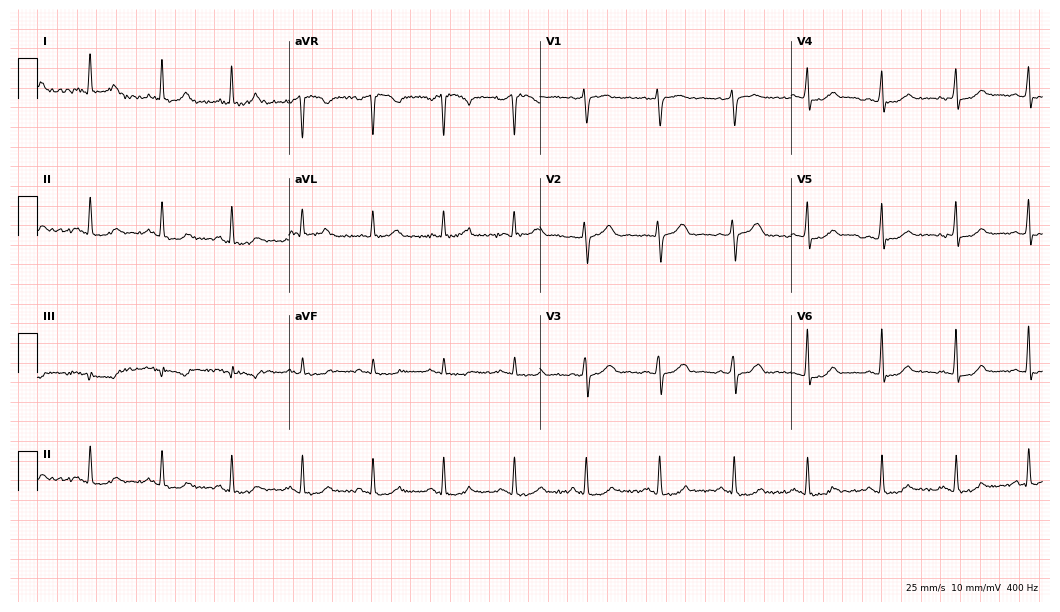
Electrocardiogram (10.2-second recording at 400 Hz), a 58-year-old female patient. Overall reading on record: normal ECG.